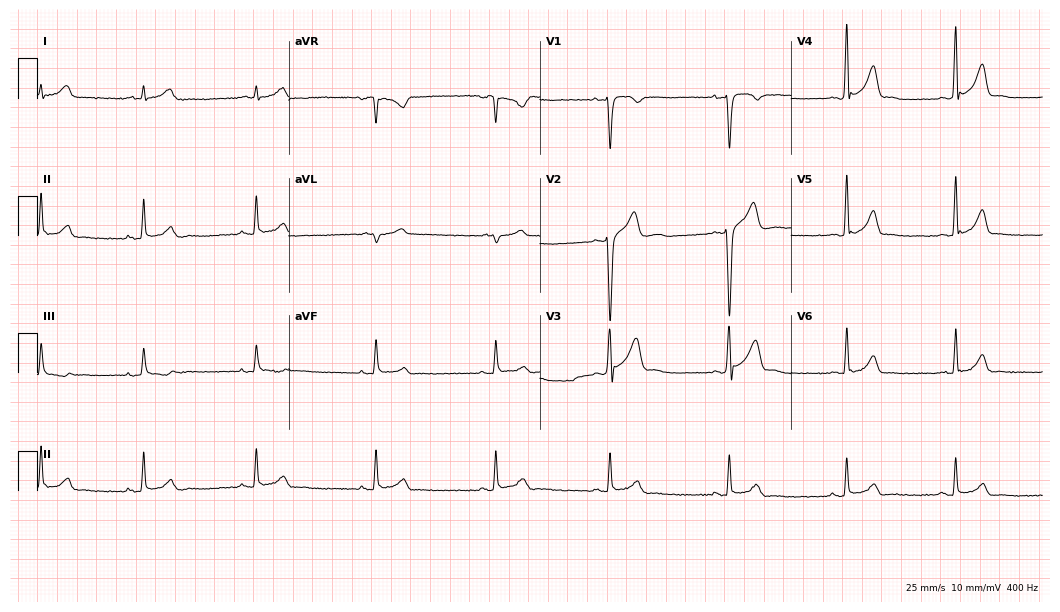
Standard 12-lead ECG recorded from a man, 24 years old (10.2-second recording at 400 Hz). None of these six findings is recorded: first-degree AV block, right bundle branch block, left bundle branch block, sinus bradycardia, atrial fibrillation, sinus tachycardia. Other findings, if any, are not listed.